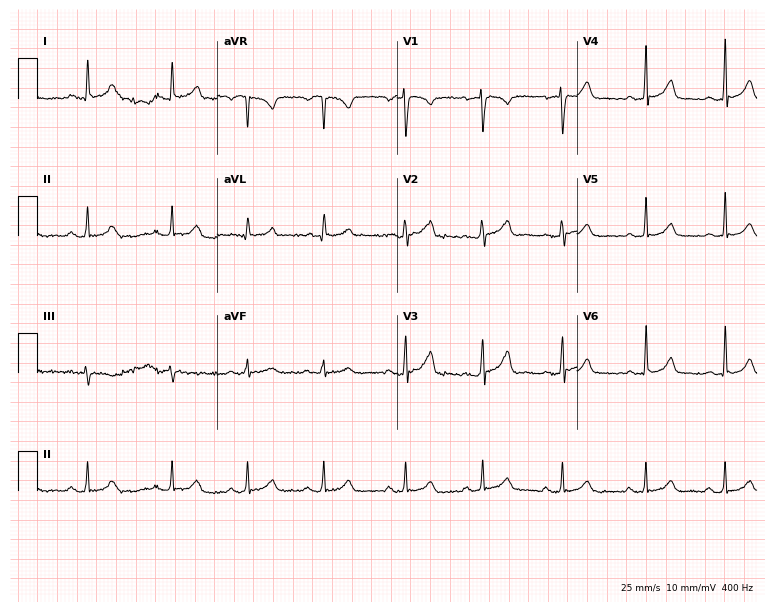
12-lead ECG (7.3-second recording at 400 Hz) from a female patient, 24 years old. Labelled as a normal ECG.